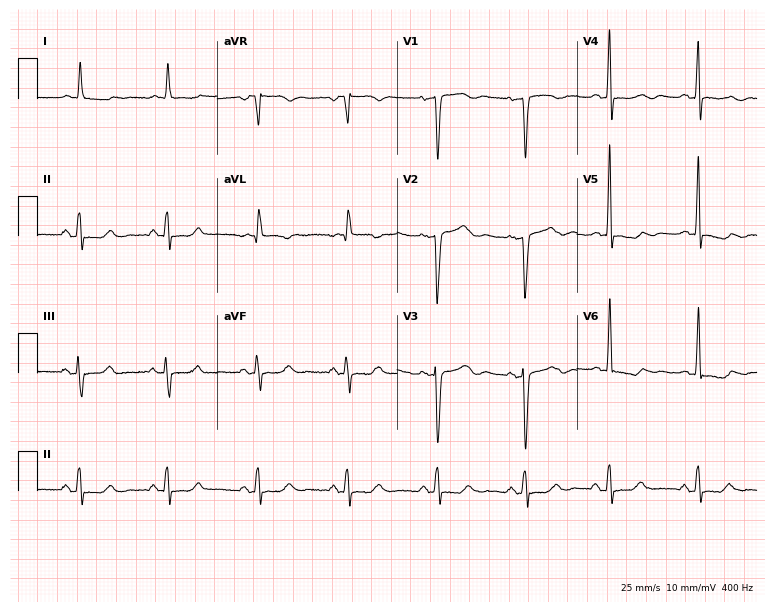
ECG (7.3-second recording at 400 Hz) — a 51-year-old female. Screened for six findings — first-degree AV block, right bundle branch block (RBBB), left bundle branch block (LBBB), sinus bradycardia, atrial fibrillation (AF), sinus tachycardia — none is recorded.